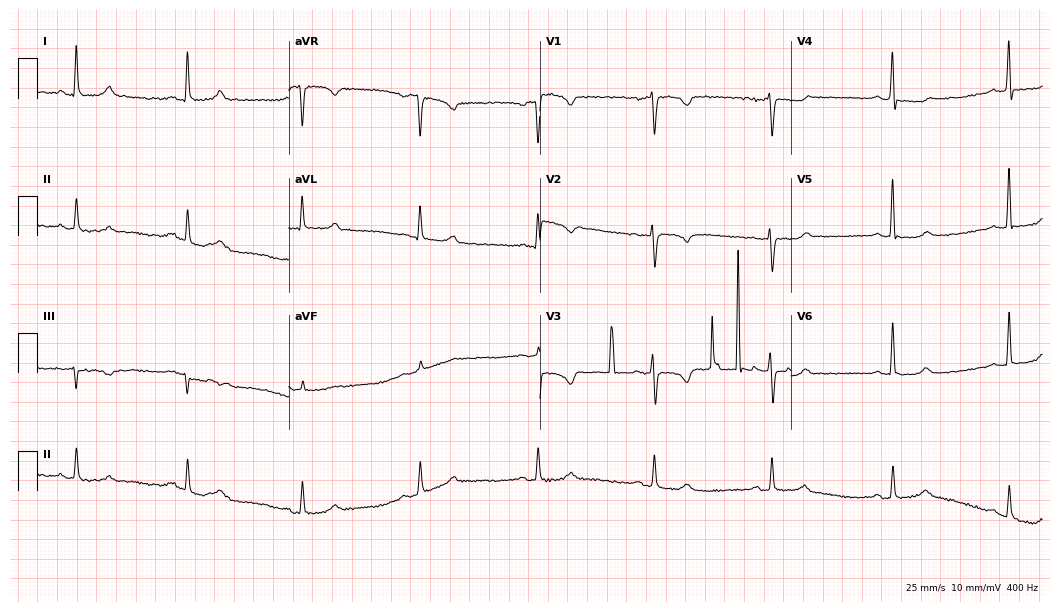
Resting 12-lead electrocardiogram (10.2-second recording at 400 Hz). Patient: a woman, 60 years old. None of these six findings is recorded: first-degree AV block, right bundle branch block, left bundle branch block, sinus bradycardia, atrial fibrillation, sinus tachycardia. Only these six findings were labelled.